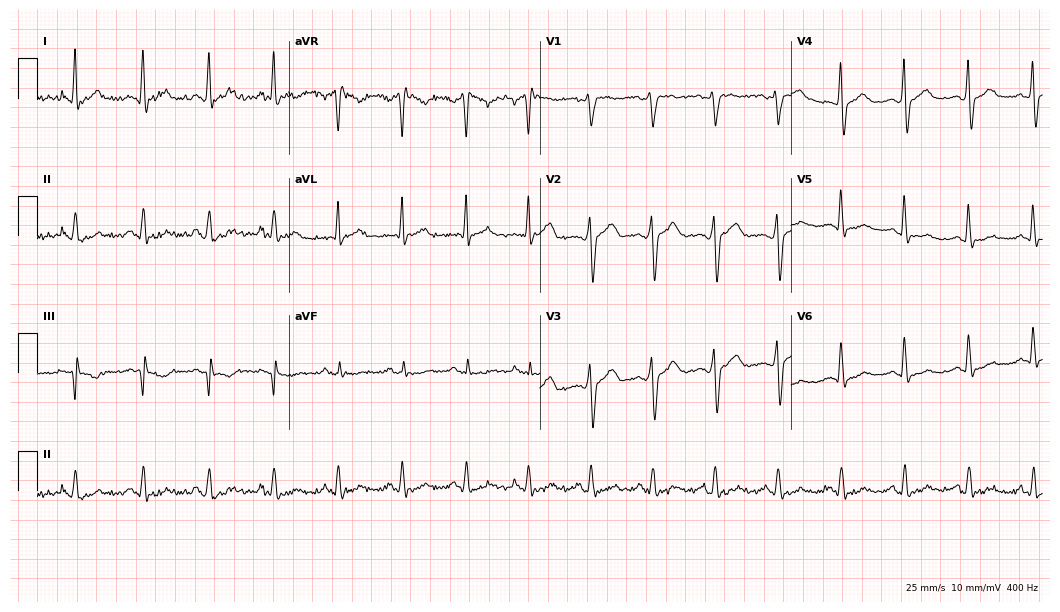
12-lead ECG (10.2-second recording at 400 Hz) from a 40-year-old male patient. Screened for six findings — first-degree AV block, right bundle branch block (RBBB), left bundle branch block (LBBB), sinus bradycardia, atrial fibrillation (AF), sinus tachycardia — none is recorded.